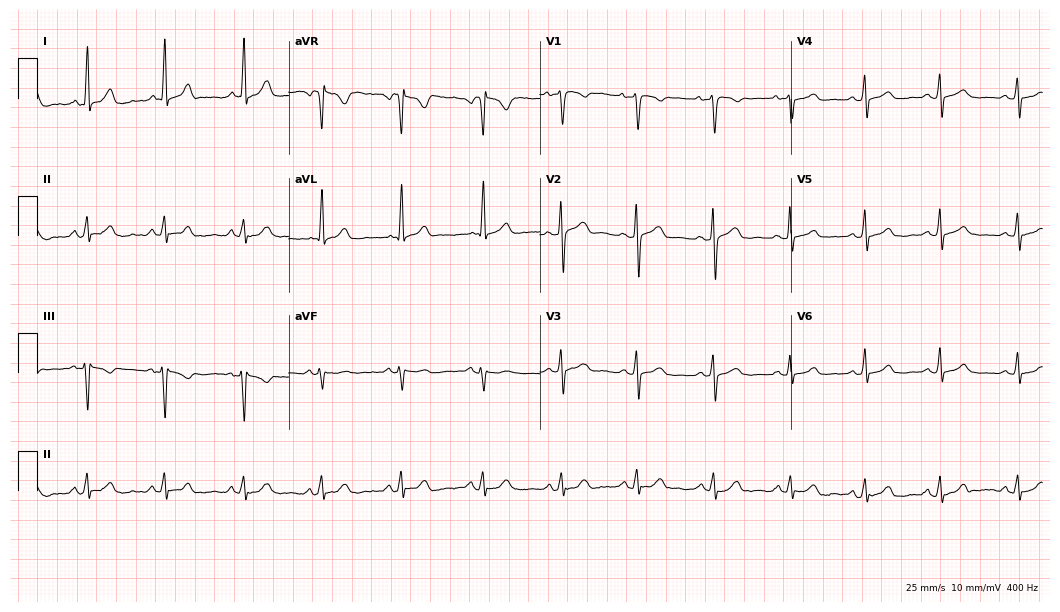
ECG (10.2-second recording at 400 Hz) — a female, 30 years old. Labelled as a normal ECG.